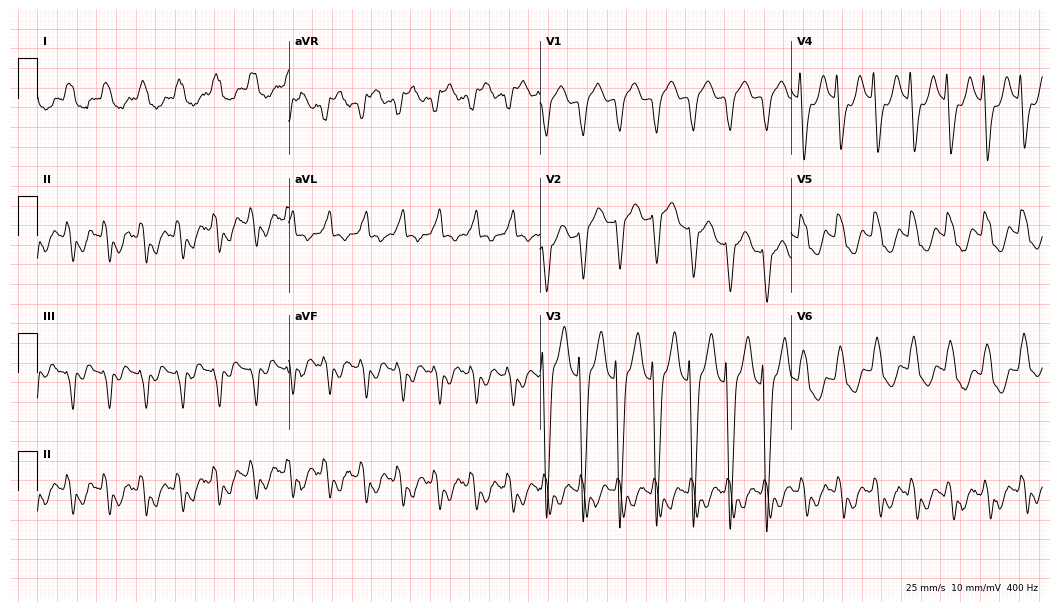
12-lead ECG from an 81-year-old male. Shows left bundle branch block.